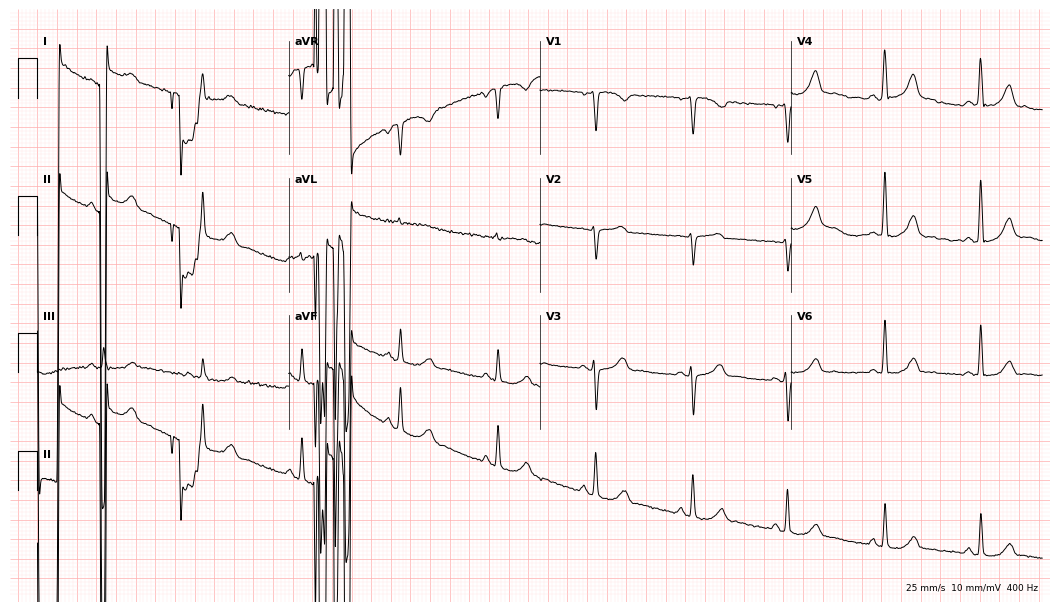
Standard 12-lead ECG recorded from a 47-year-old woman (10.2-second recording at 400 Hz). None of these six findings is recorded: first-degree AV block, right bundle branch block, left bundle branch block, sinus bradycardia, atrial fibrillation, sinus tachycardia. Findings outside these six are not listed.